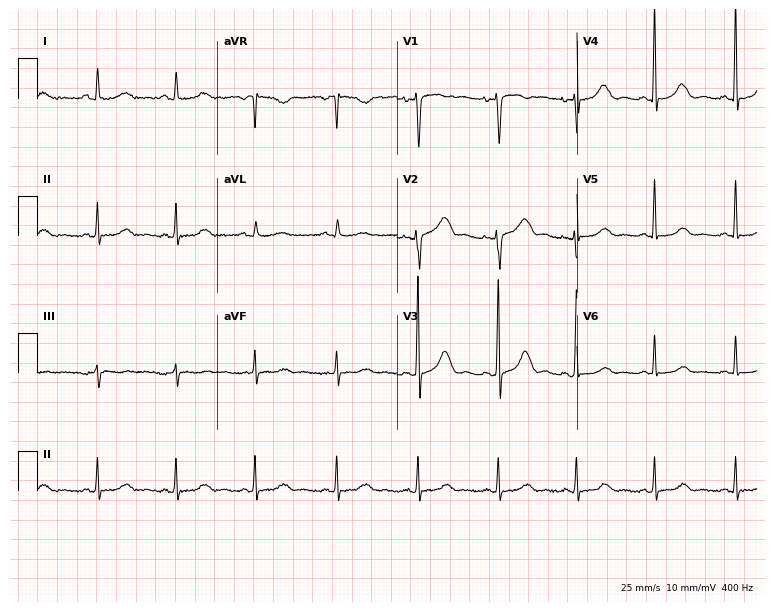
ECG — a 68-year-old woman. Screened for six findings — first-degree AV block, right bundle branch block (RBBB), left bundle branch block (LBBB), sinus bradycardia, atrial fibrillation (AF), sinus tachycardia — none is recorded. Findings outside these six are not listed.